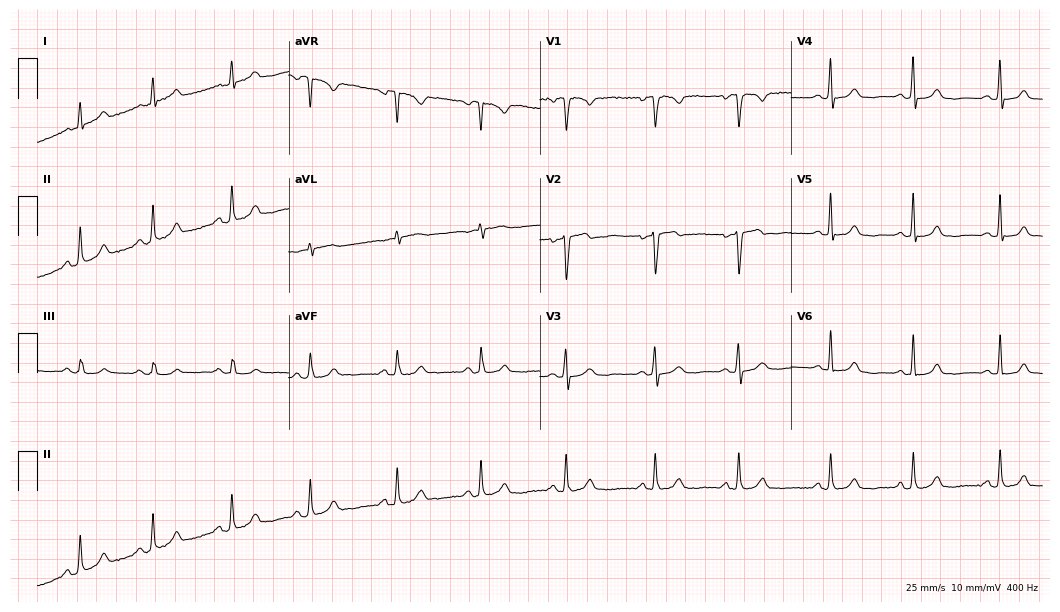
12-lead ECG from a female patient, 32 years old (10.2-second recording at 400 Hz). Recorded interpretation: within normal limits.